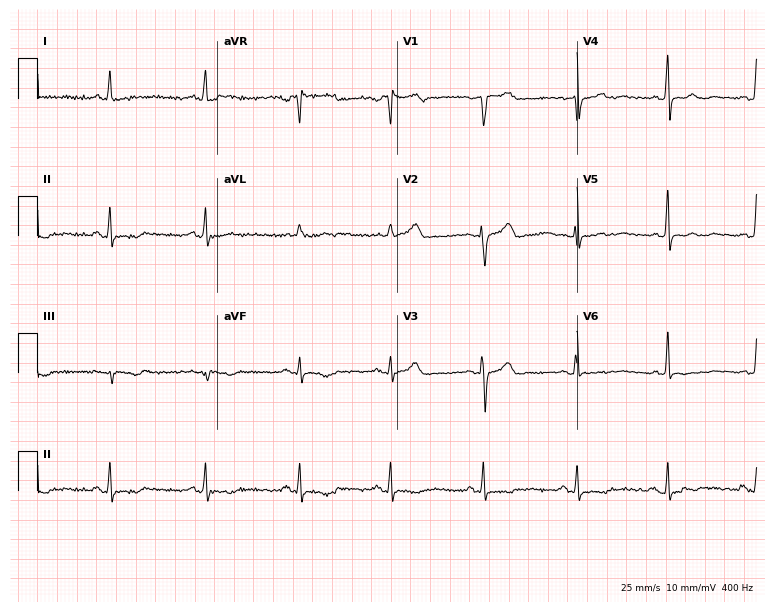
ECG — a 56-year-old woman. Screened for six findings — first-degree AV block, right bundle branch block (RBBB), left bundle branch block (LBBB), sinus bradycardia, atrial fibrillation (AF), sinus tachycardia — none is recorded.